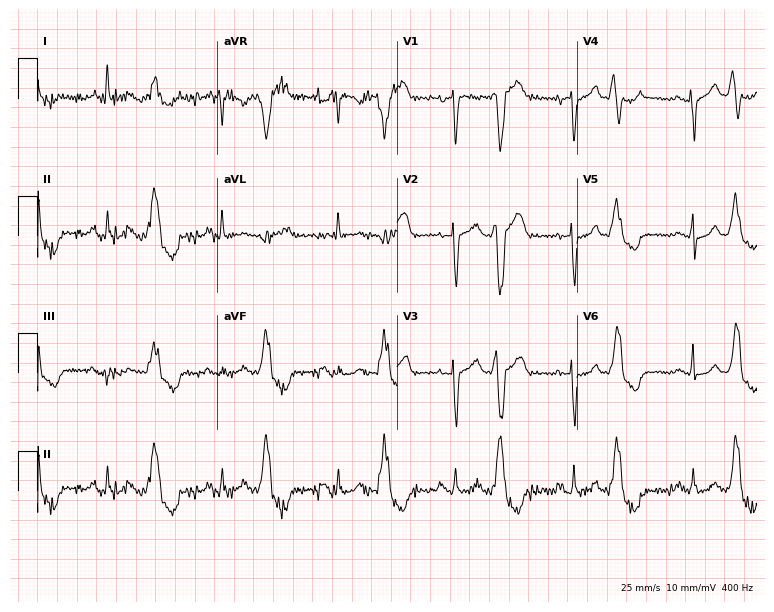
ECG (7.3-second recording at 400 Hz) — a woman, 75 years old. Screened for six findings — first-degree AV block, right bundle branch block, left bundle branch block, sinus bradycardia, atrial fibrillation, sinus tachycardia — none is recorded.